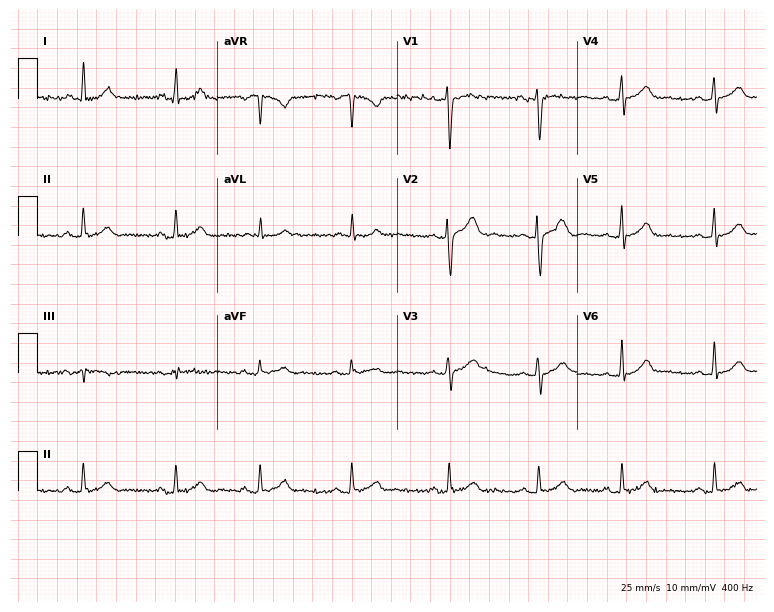
Electrocardiogram, an 18-year-old man. Overall reading on record: normal ECG.